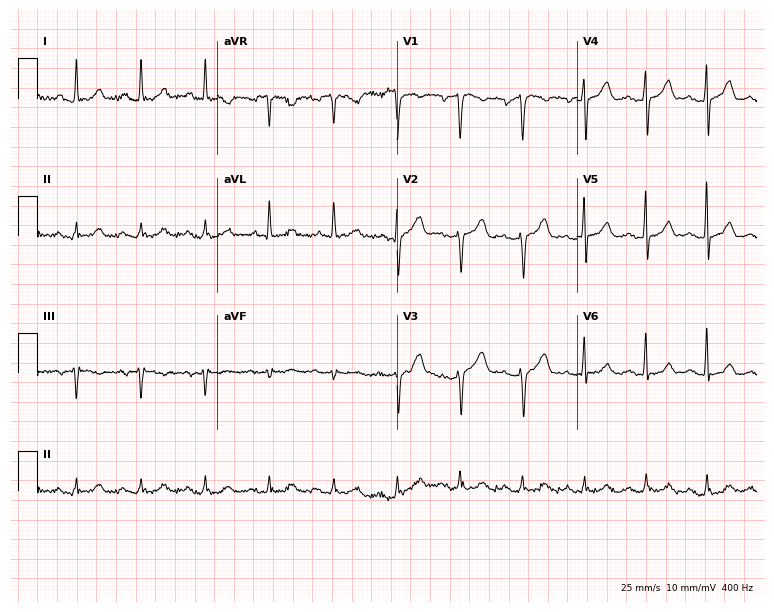
12-lead ECG (7.3-second recording at 400 Hz) from a 50-year-old female patient. Screened for six findings — first-degree AV block, right bundle branch block, left bundle branch block, sinus bradycardia, atrial fibrillation, sinus tachycardia — none is recorded. Other findings, if any, are not listed.